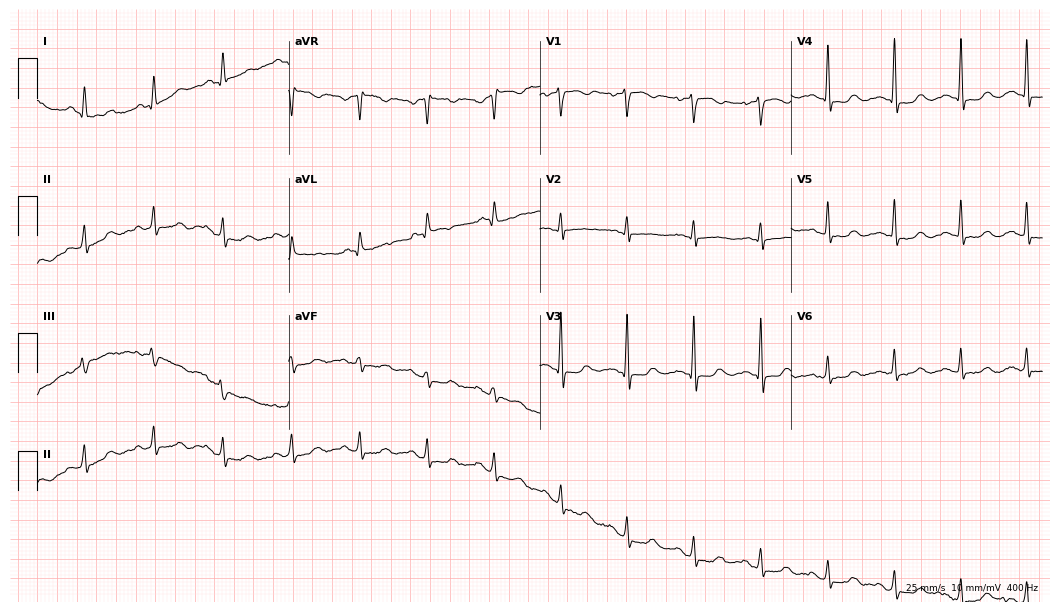
Electrocardiogram (10.2-second recording at 400 Hz), a 60-year-old female. Overall reading on record: normal ECG.